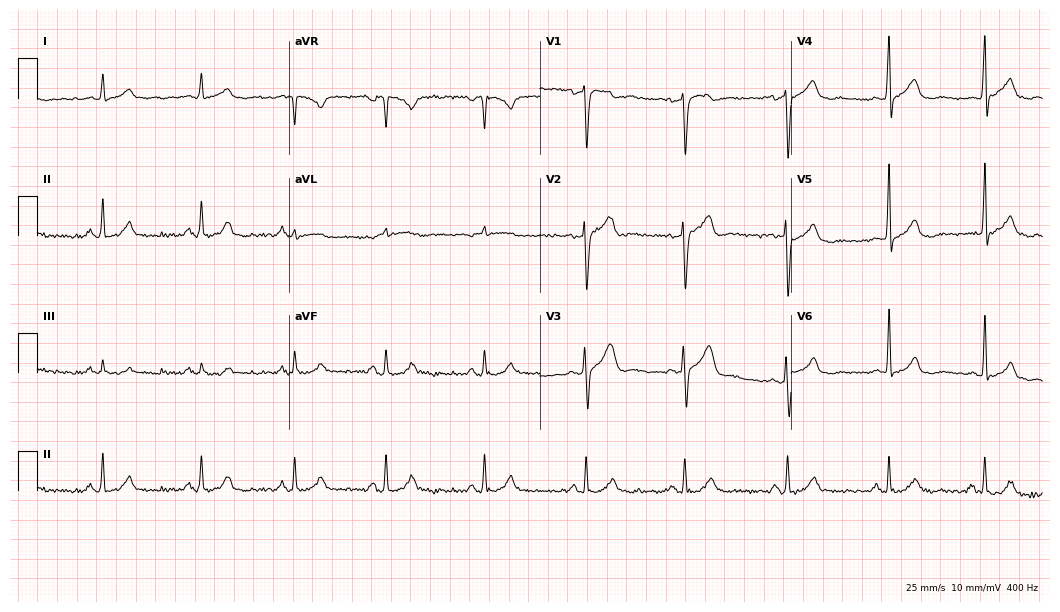
12-lead ECG from a male, 43 years old (10.2-second recording at 400 Hz). Recorded interpretation: within normal limits.